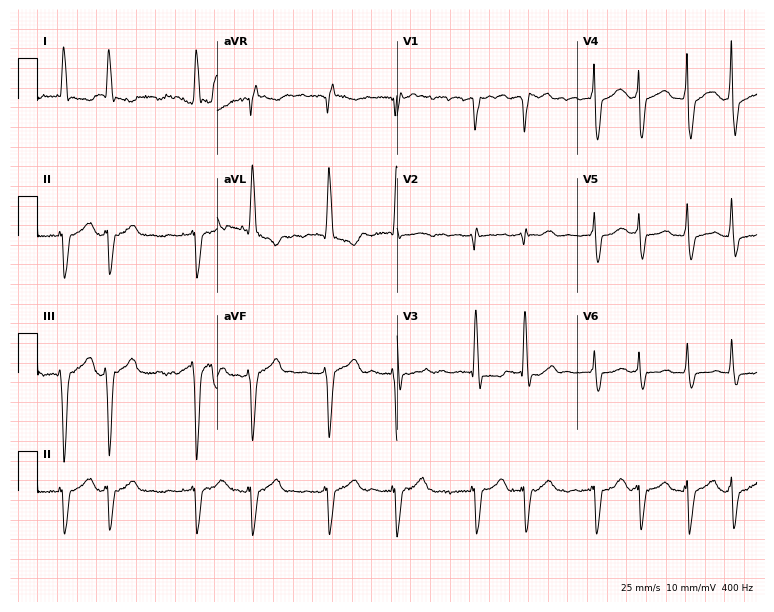
12-lead ECG from a woman, 82 years old (7.3-second recording at 400 Hz). Shows atrial fibrillation.